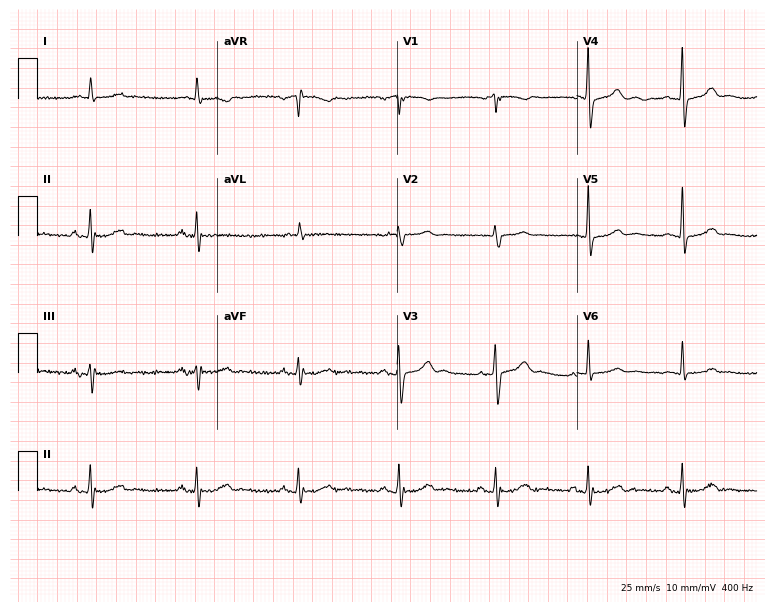
12-lead ECG from an 83-year-old man (7.3-second recording at 400 Hz). No first-degree AV block, right bundle branch block (RBBB), left bundle branch block (LBBB), sinus bradycardia, atrial fibrillation (AF) or sinus tachycardia recorded for this tracing.